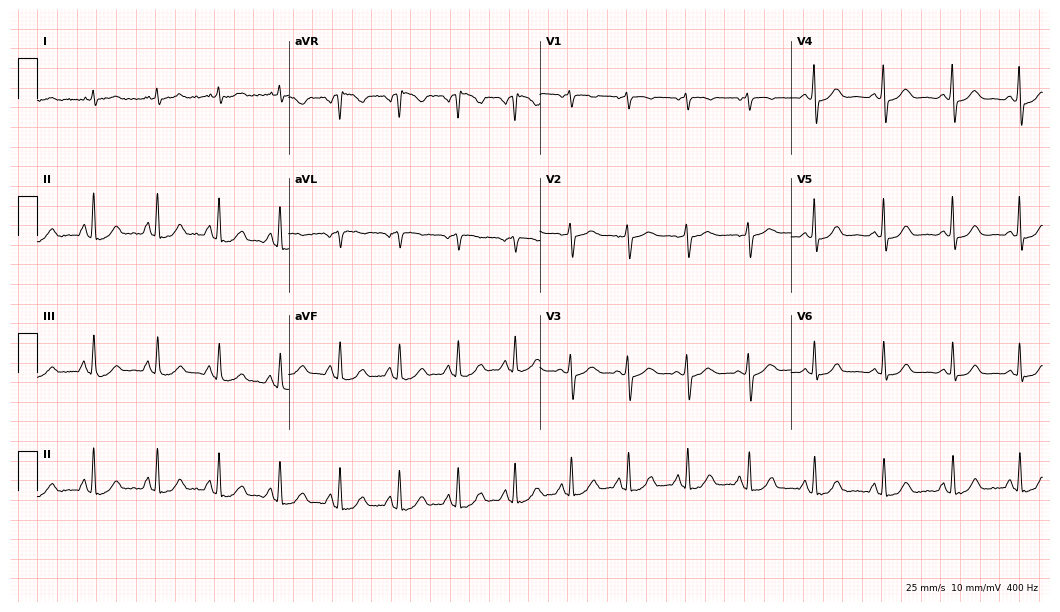
ECG — a 63-year-old female. Screened for six findings — first-degree AV block, right bundle branch block, left bundle branch block, sinus bradycardia, atrial fibrillation, sinus tachycardia — none is recorded.